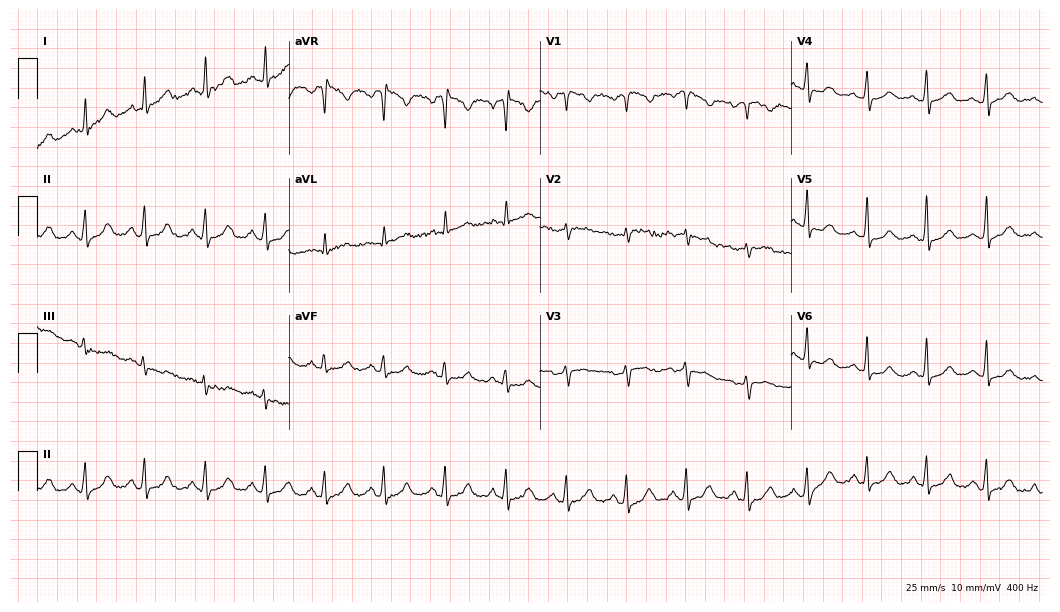
12-lead ECG from a female patient, 46 years old. Recorded interpretation: within normal limits.